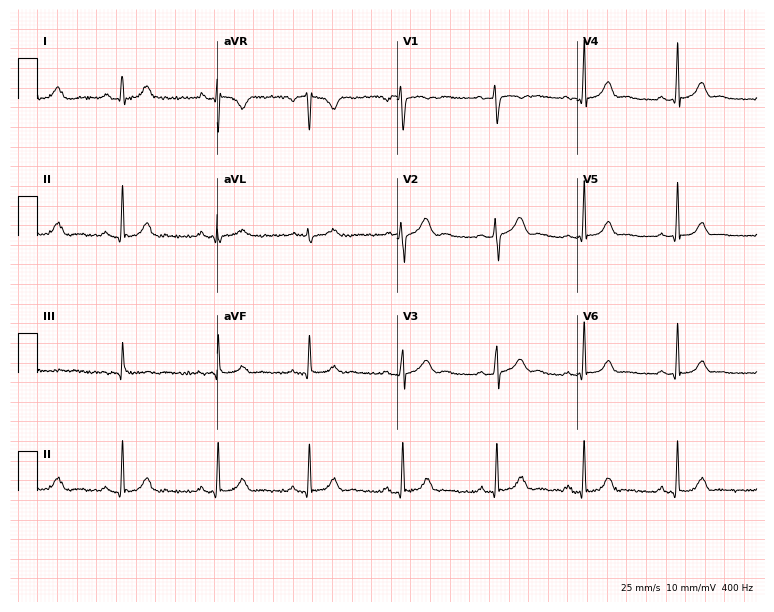
ECG (7.3-second recording at 400 Hz) — a 22-year-old woman. Labelled as a normal ECG.